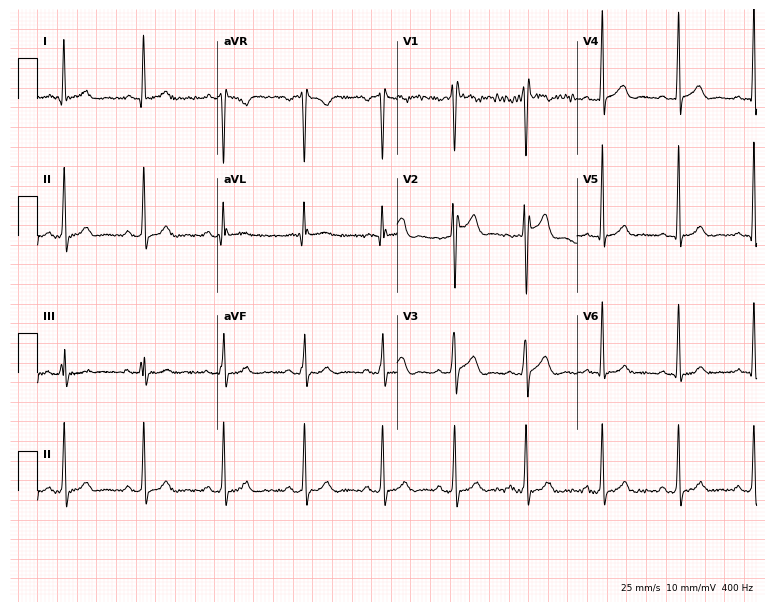
ECG (7.3-second recording at 400 Hz) — a 29-year-old male. Screened for six findings — first-degree AV block, right bundle branch block, left bundle branch block, sinus bradycardia, atrial fibrillation, sinus tachycardia — none is recorded. Findings outside these six are not listed.